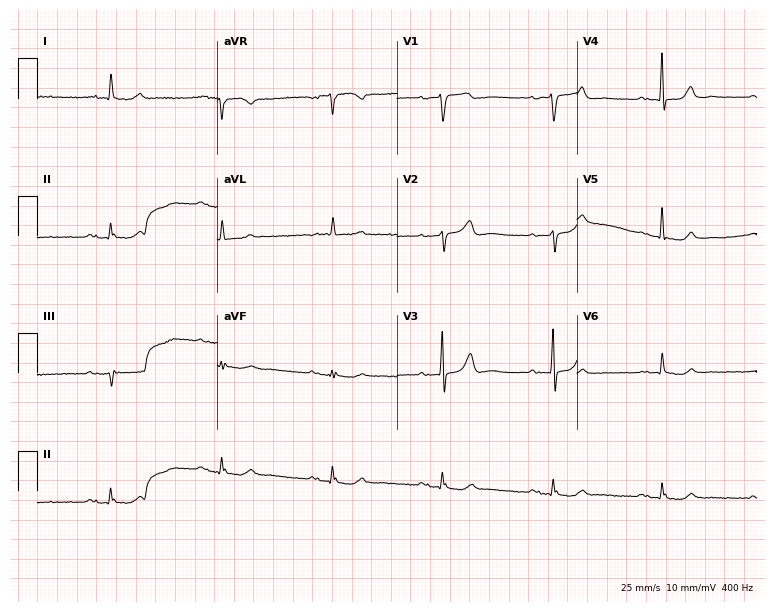
12-lead ECG from a male patient, 83 years old. Screened for six findings — first-degree AV block, right bundle branch block, left bundle branch block, sinus bradycardia, atrial fibrillation, sinus tachycardia — none is recorded. Findings outside these six are not listed.